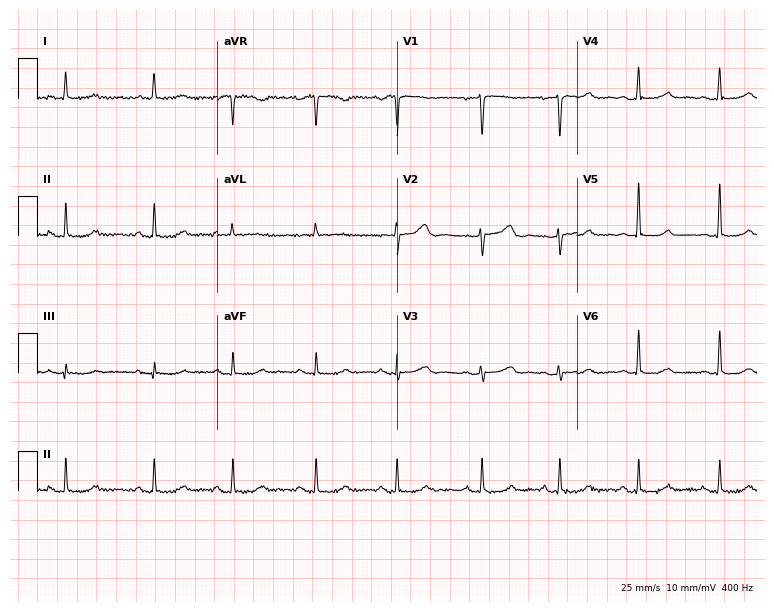
12-lead ECG from a woman, 46 years old (7.3-second recording at 400 Hz). No first-degree AV block, right bundle branch block, left bundle branch block, sinus bradycardia, atrial fibrillation or sinus tachycardia recorded for this tracing. Only these six findings were labelled.